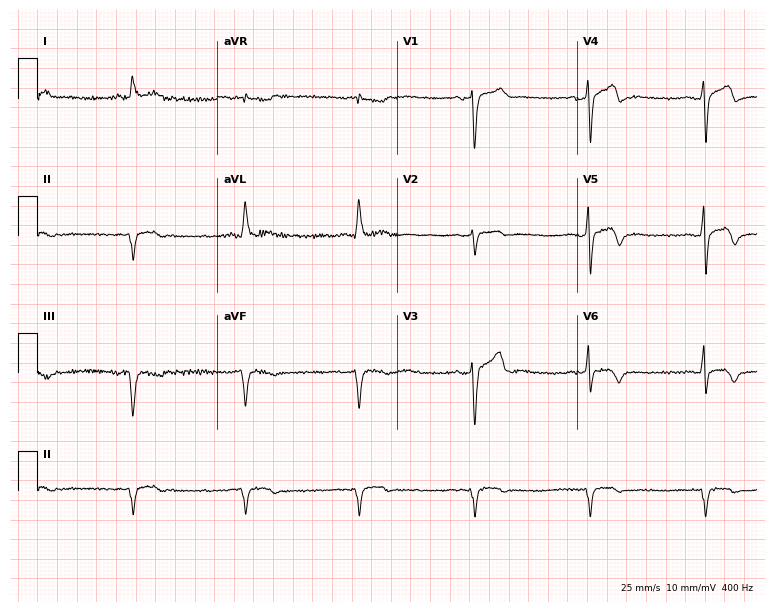
ECG — a 57-year-old male patient. Screened for six findings — first-degree AV block, right bundle branch block, left bundle branch block, sinus bradycardia, atrial fibrillation, sinus tachycardia — none is recorded.